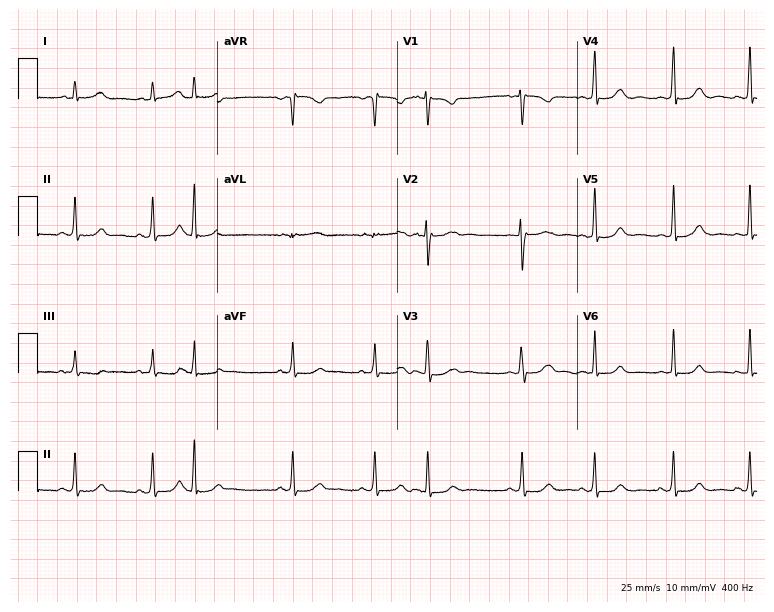
Resting 12-lead electrocardiogram (7.3-second recording at 400 Hz). Patient: a 28-year-old female. None of these six findings is recorded: first-degree AV block, right bundle branch block, left bundle branch block, sinus bradycardia, atrial fibrillation, sinus tachycardia.